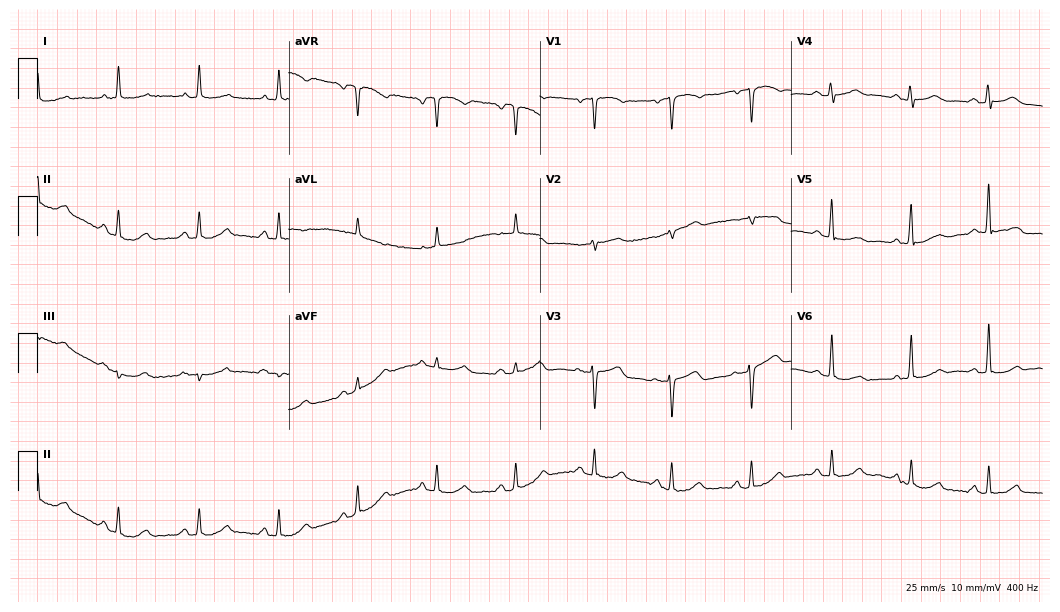
12-lead ECG from a 68-year-old female. Recorded interpretation: within normal limits.